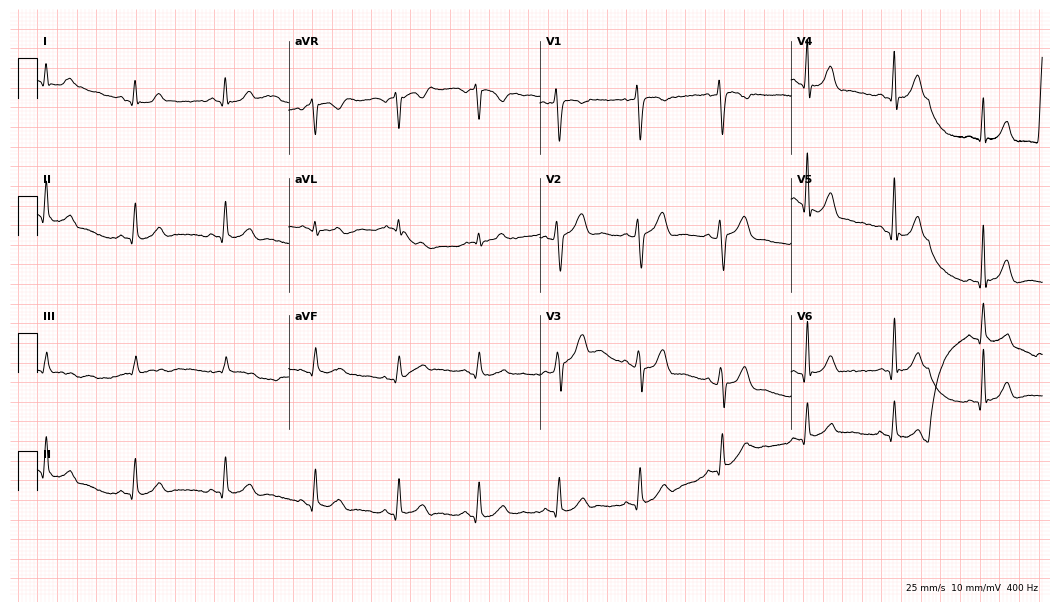
Standard 12-lead ECG recorded from a man, 38 years old. None of these six findings is recorded: first-degree AV block, right bundle branch block (RBBB), left bundle branch block (LBBB), sinus bradycardia, atrial fibrillation (AF), sinus tachycardia. Only these six findings were labelled.